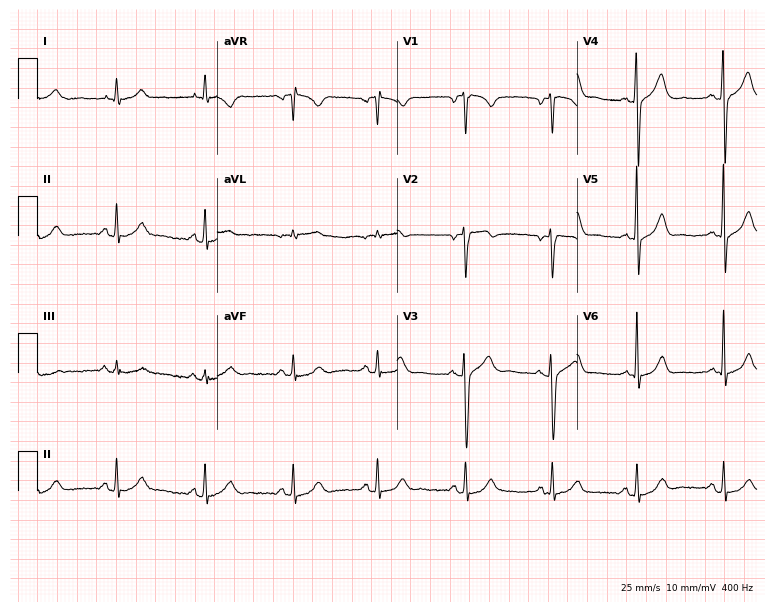
ECG (7.3-second recording at 400 Hz) — a 29-year-old male. Labelled as a normal ECG.